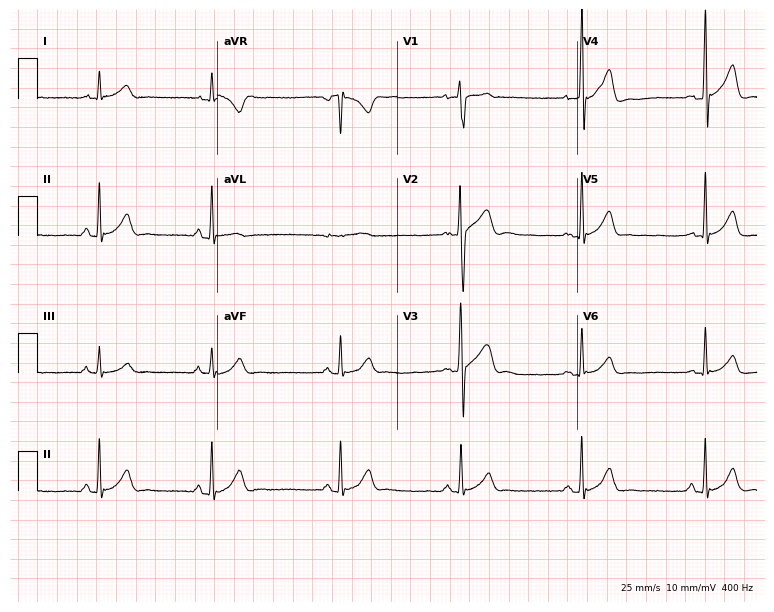
Standard 12-lead ECG recorded from a male, 35 years old. None of these six findings is recorded: first-degree AV block, right bundle branch block, left bundle branch block, sinus bradycardia, atrial fibrillation, sinus tachycardia.